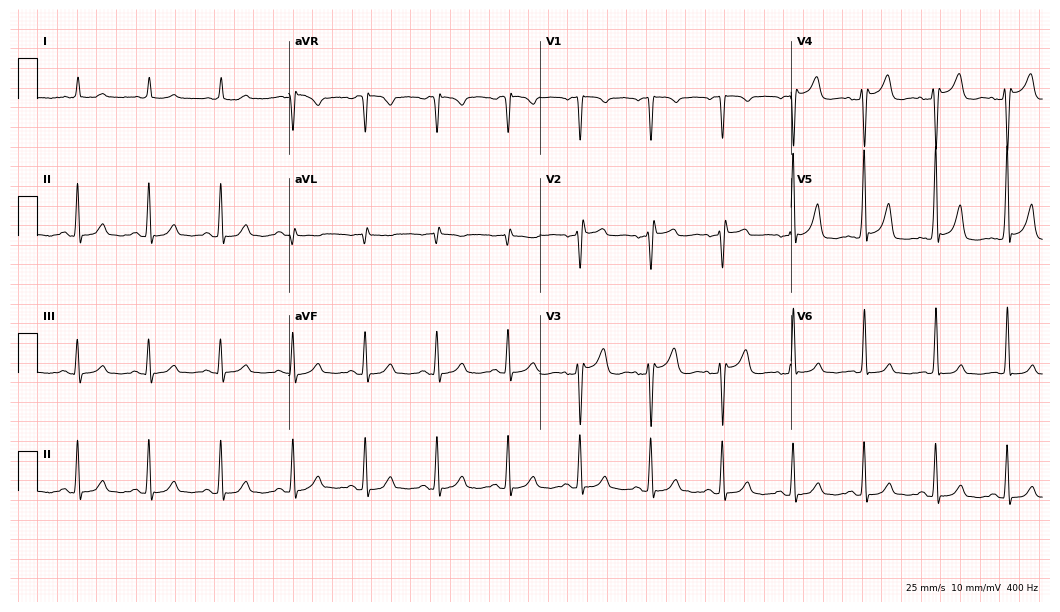
12-lead ECG from a man, 64 years old. Screened for six findings — first-degree AV block, right bundle branch block, left bundle branch block, sinus bradycardia, atrial fibrillation, sinus tachycardia — none is recorded. Findings outside these six are not listed.